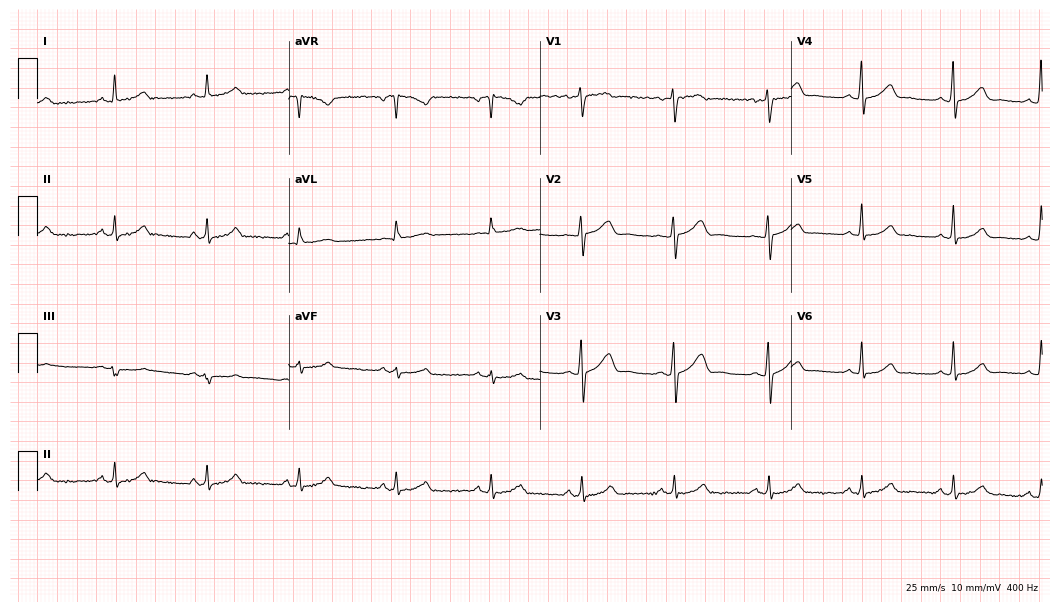
12-lead ECG from a woman, 44 years old. Recorded interpretation: within normal limits.